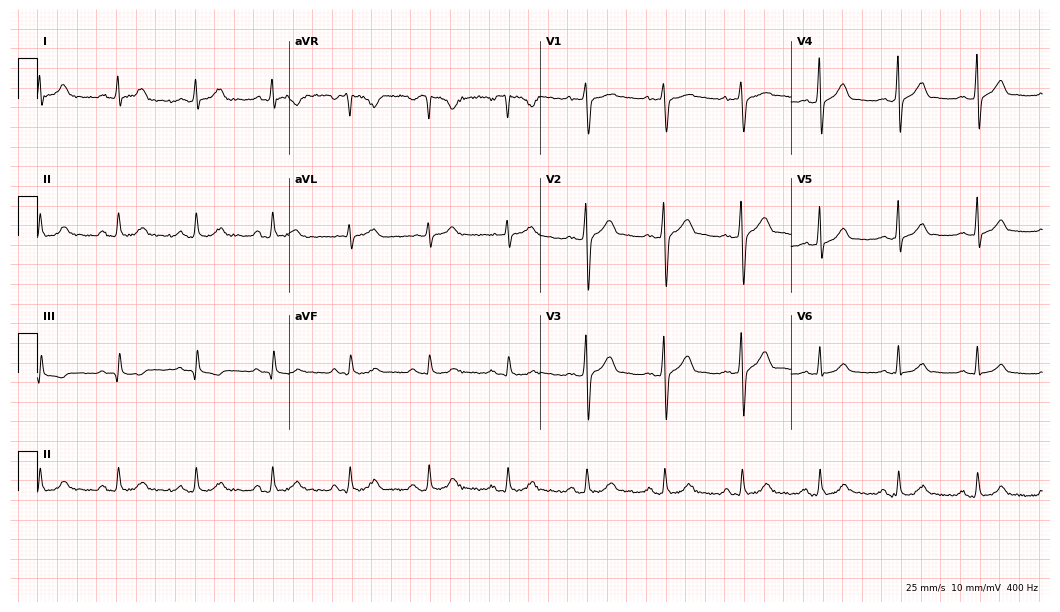
Resting 12-lead electrocardiogram. Patient: a 40-year-old male. Read as a normal ECG.